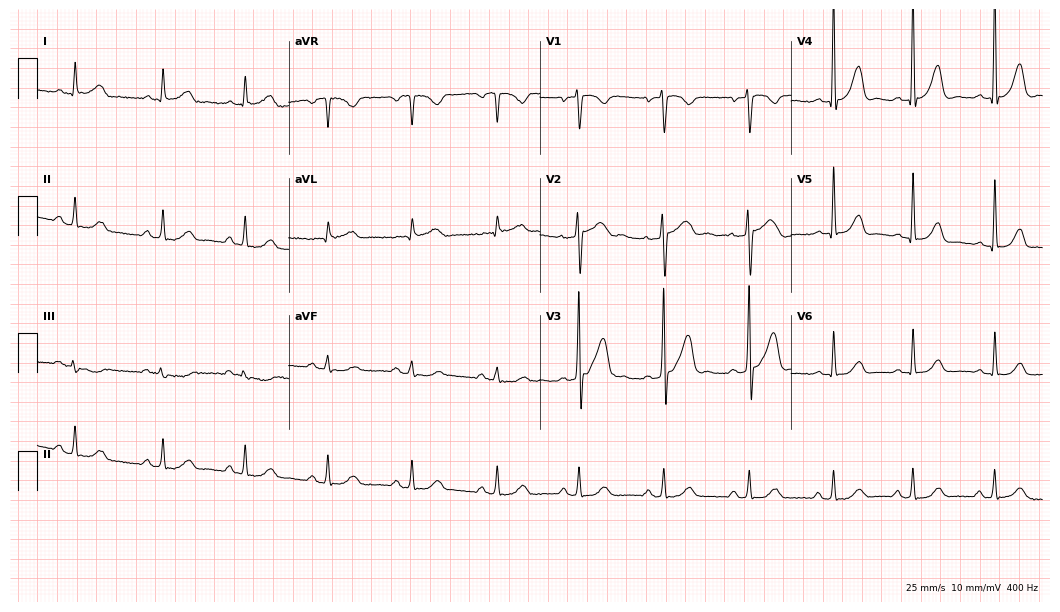
Electrocardiogram (10.2-second recording at 400 Hz), a man, 67 years old. Overall reading on record: normal ECG.